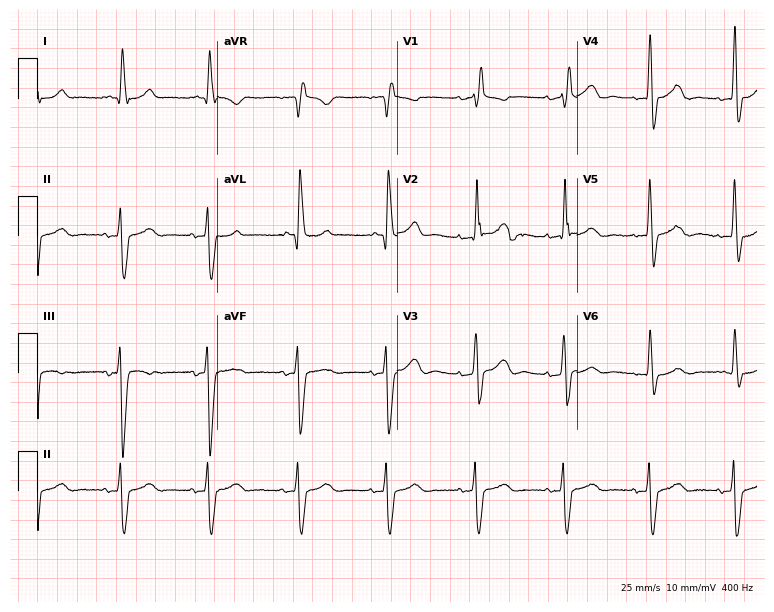
Electrocardiogram (7.3-second recording at 400 Hz), an 81-year-old man. Interpretation includes right bundle branch block.